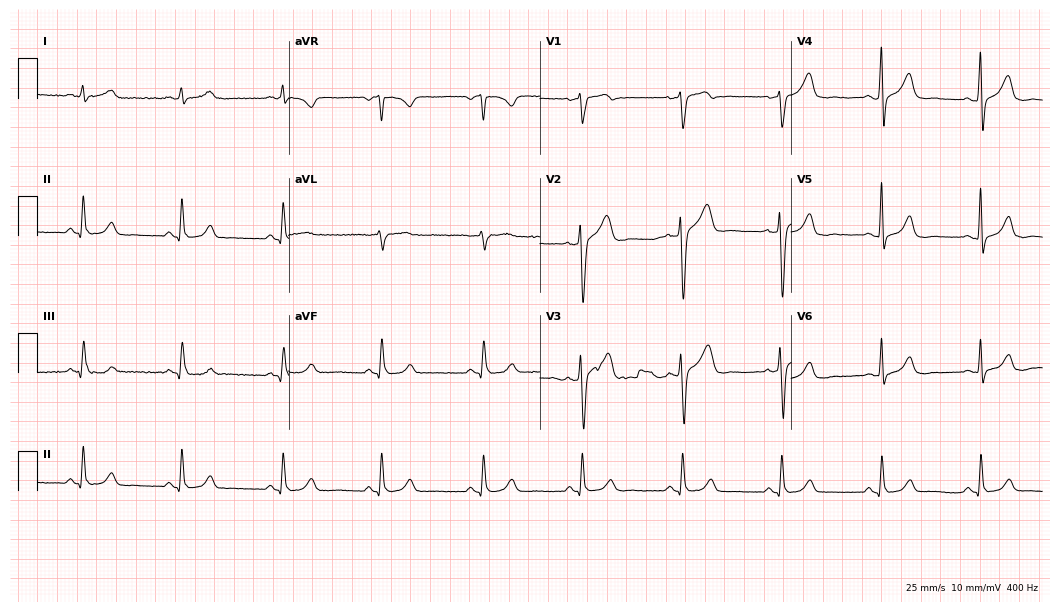
12-lead ECG from a man, 59 years old. Screened for six findings — first-degree AV block, right bundle branch block, left bundle branch block, sinus bradycardia, atrial fibrillation, sinus tachycardia — none is recorded. Only these six findings were labelled.